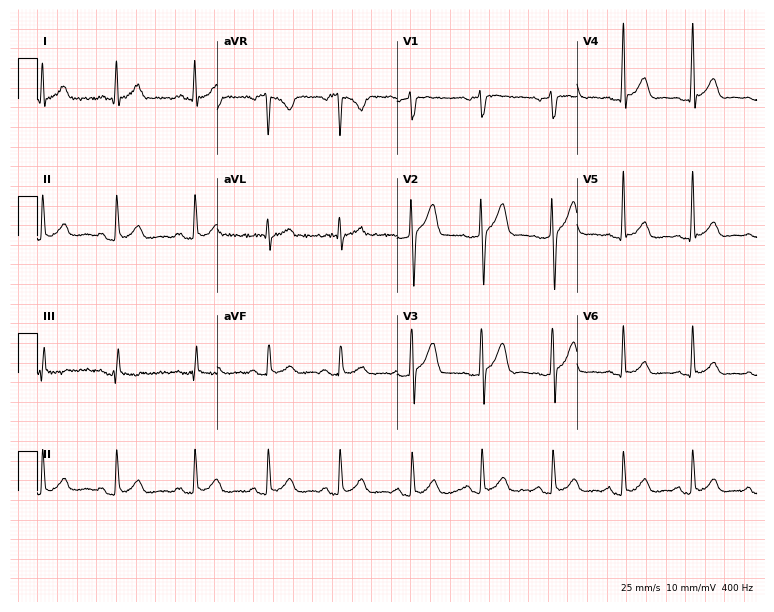
Resting 12-lead electrocardiogram (7.3-second recording at 400 Hz). Patient: a male, 46 years old. Read as a normal ECG.